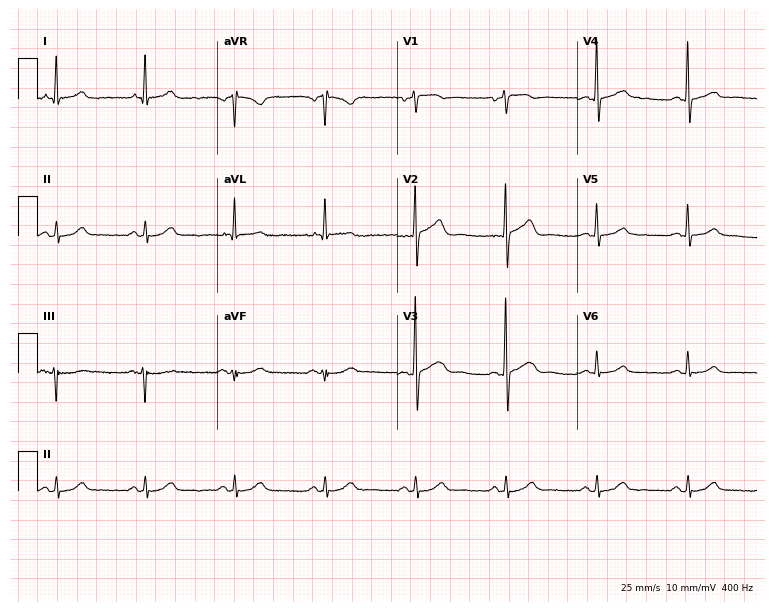
Standard 12-lead ECG recorded from a male, 69 years old. None of these six findings is recorded: first-degree AV block, right bundle branch block, left bundle branch block, sinus bradycardia, atrial fibrillation, sinus tachycardia.